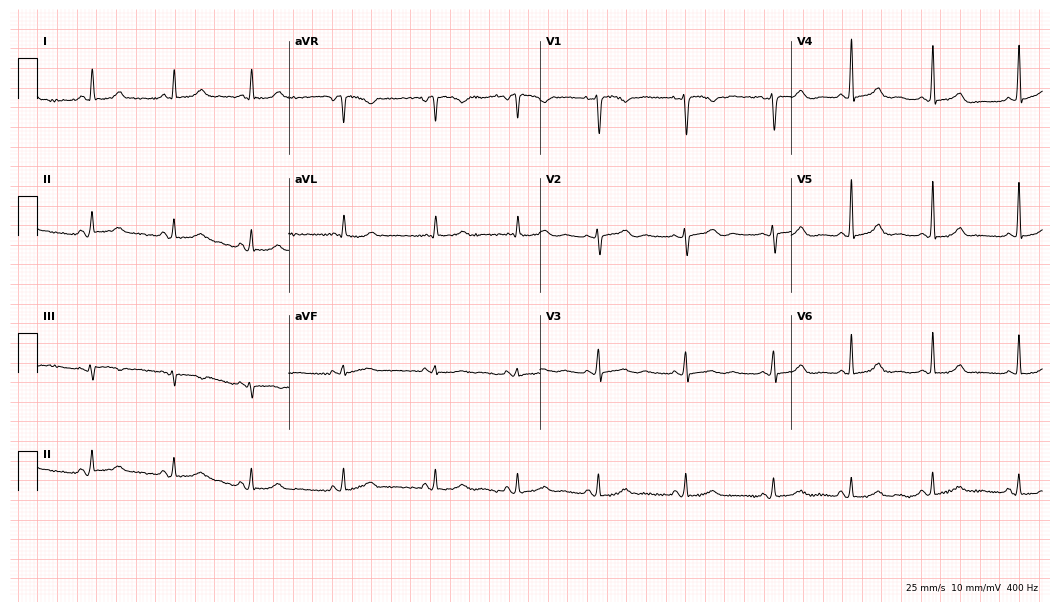
ECG — a 32-year-old female patient. Labelled as a normal ECG.